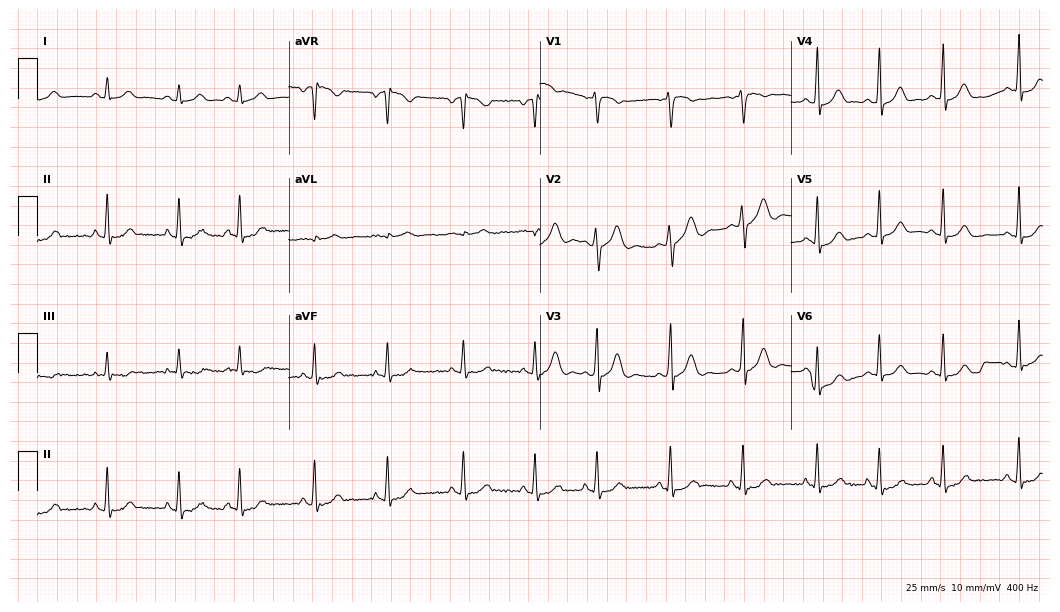
12-lead ECG from a female patient, 19 years old. Labelled as a normal ECG.